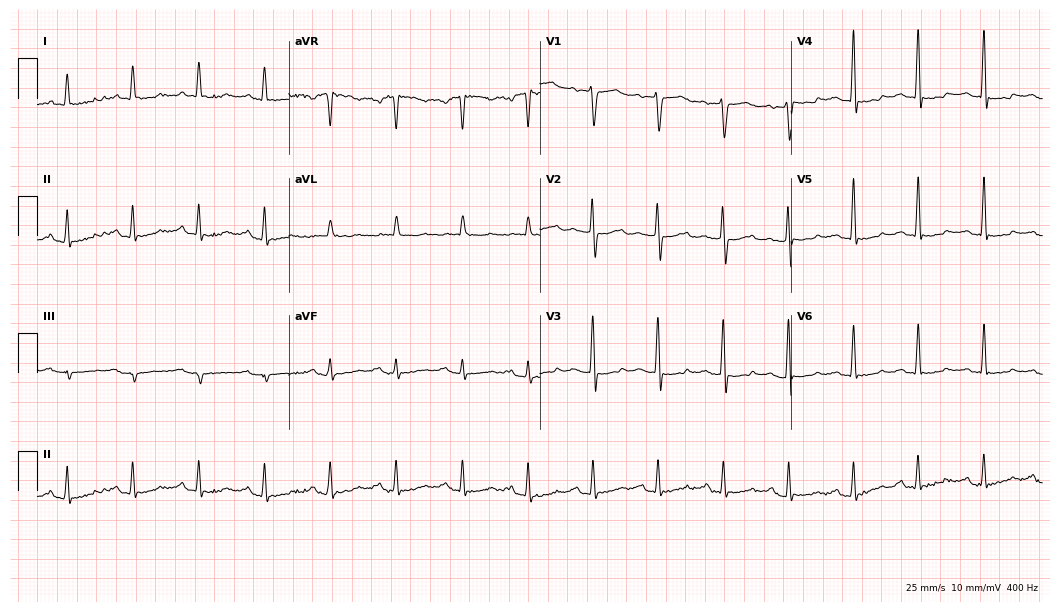
12-lead ECG from a 57-year-old female (10.2-second recording at 400 Hz). No first-degree AV block, right bundle branch block, left bundle branch block, sinus bradycardia, atrial fibrillation or sinus tachycardia recorded for this tracing.